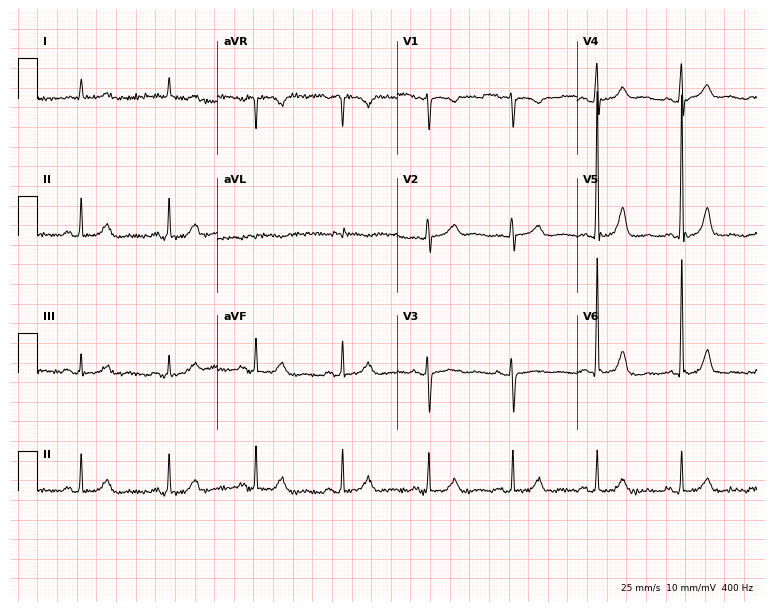
12-lead ECG from a male patient, 85 years old (7.3-second recording at 400 Hz). No first-degree AV block, right bundle branch block (RBBB), left bundle branch block (LBBB), sinus bradycardia, atrial fibrillation (AF) or sinus tachycardia recorded for this tracing.